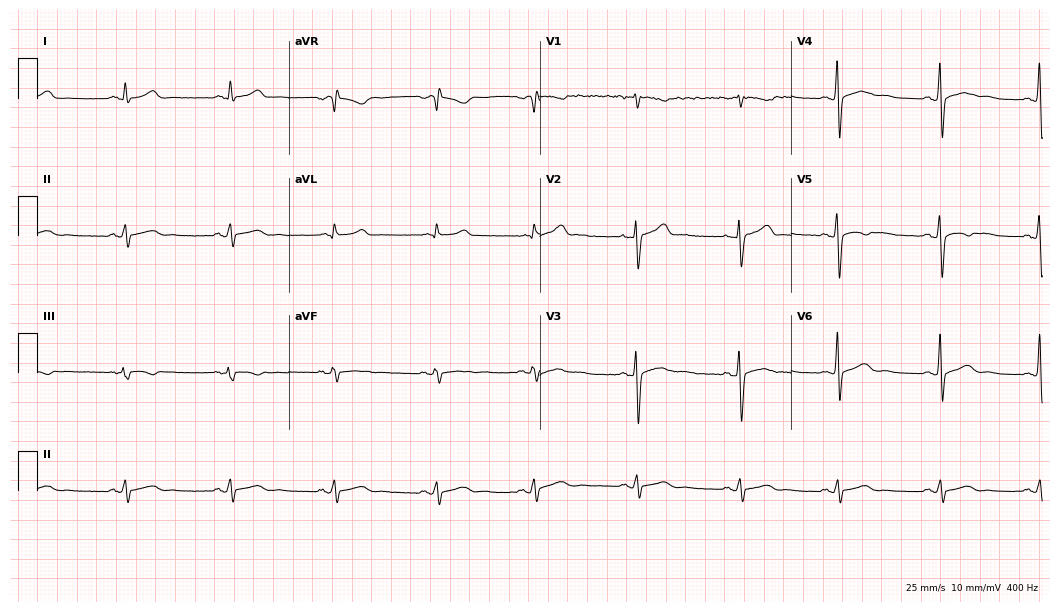
ECG (10.2-second recording at 400 Hz) — a male patient, 41 years old. Screened for six findings — first-degree AV block, right bundle branch block, left bundle branch block, sinus bradycardia, atrial fibrillation, sinus tachycardia — none is recorded.